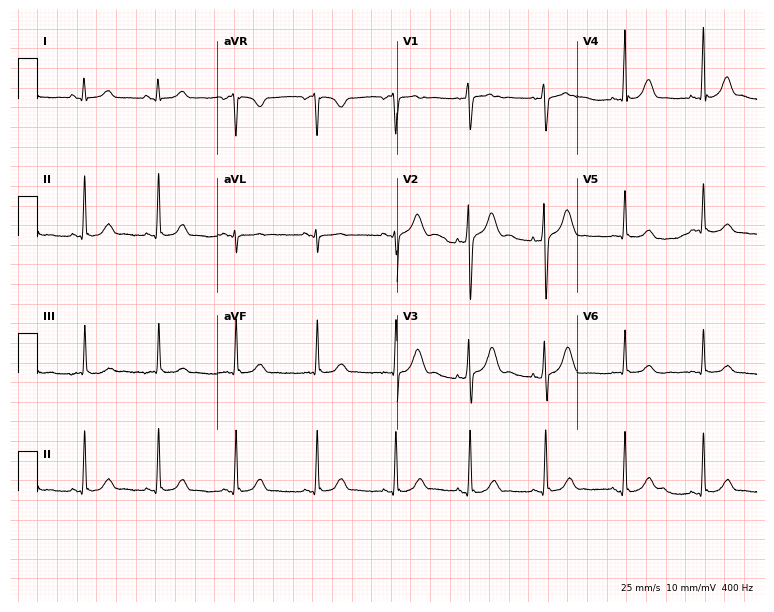
Standard 12-lead ECG recorded from a 22-year-old female. None of these six findings is recorded: first-degree AV block, right bundle branch block (RBBB), left bundle branch block (LBBB), sinus bradycardia, atrial fibrillation (AF), sinus tachycardia.